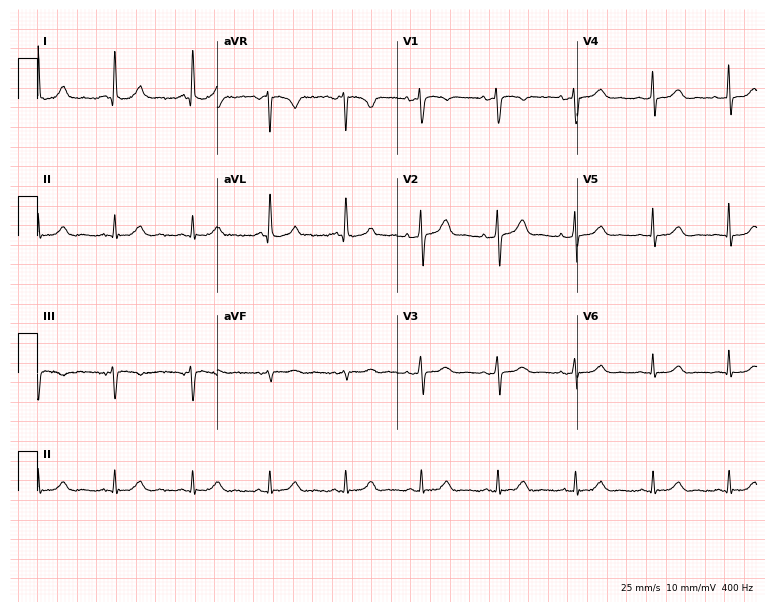
12-lead ECG (7.3-second recording at 400 Hz) from a 68-year-old female. Labelled as a normal ECG.